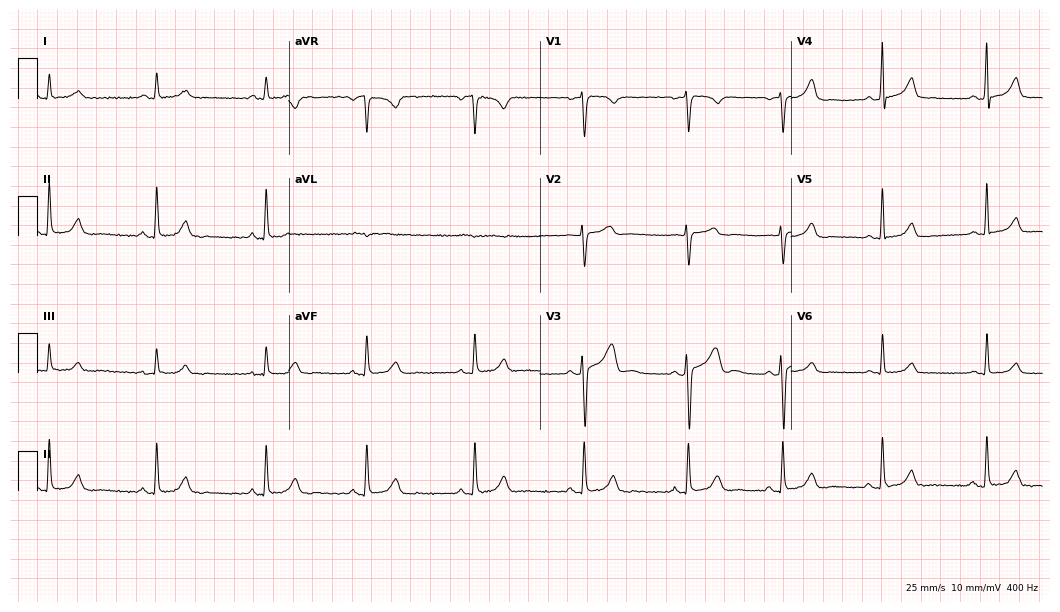
Electrocardiogram, a female patient, 35 years old. Overall reading on record: normal ECG.